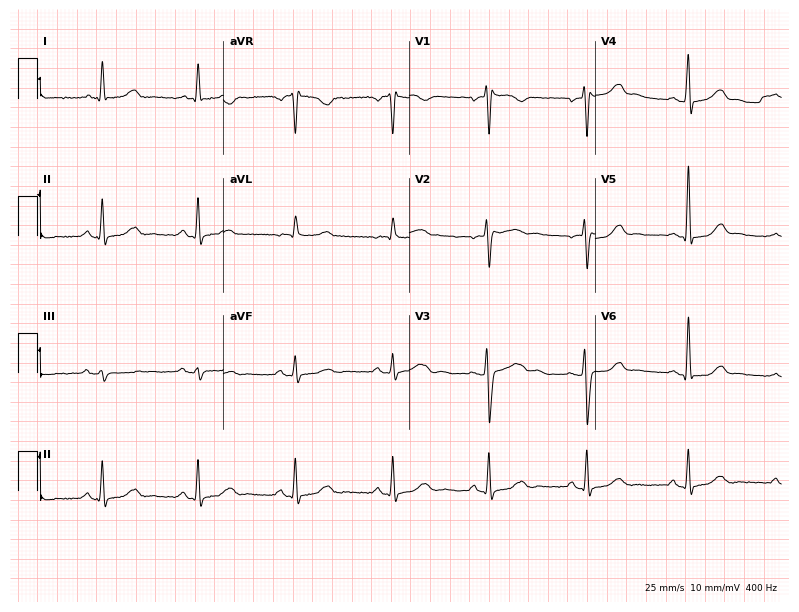
Electrocardiogram (7.6-second recording at 400 Hz), a 59-year-old woman. Of the six screened findings (first-degree AV block, right bundle branch block (RBBB), left bundle branch block (LBBB), sinus bradycardia, atrial fibrillation (AF), sinus tachycardia), none is recorded. Findings outside these six are not listed.